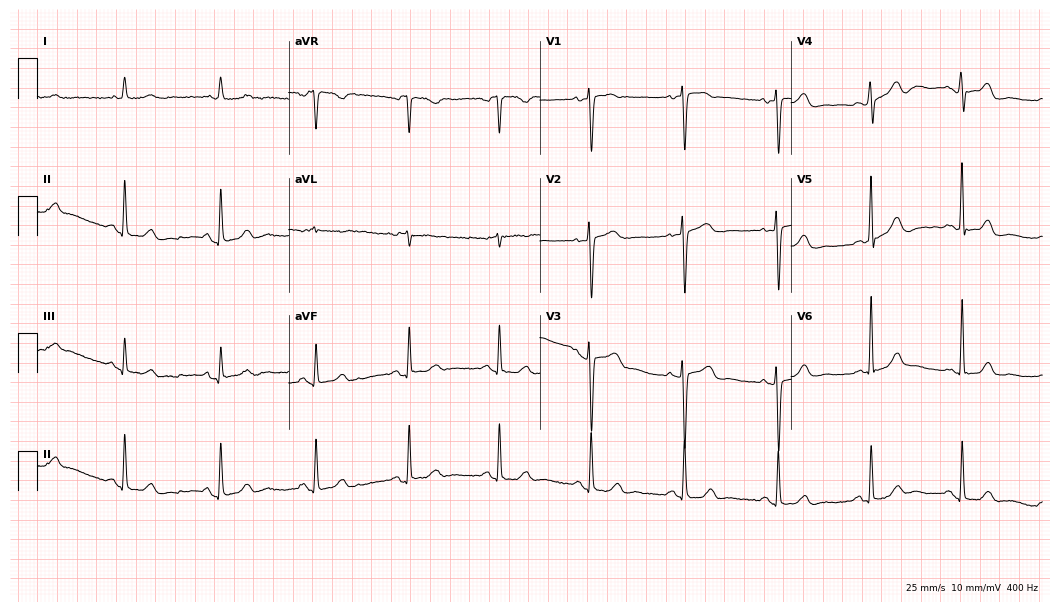
12-lead ECG from a 73-year-old female patient. Screened for six findings — first-degree AV block, right bundle branch block, left bundle branch block, sinus bradycardia, atrial fibrillation, sinus tachycardia — none is recorded. Findings outside these six are not listed.